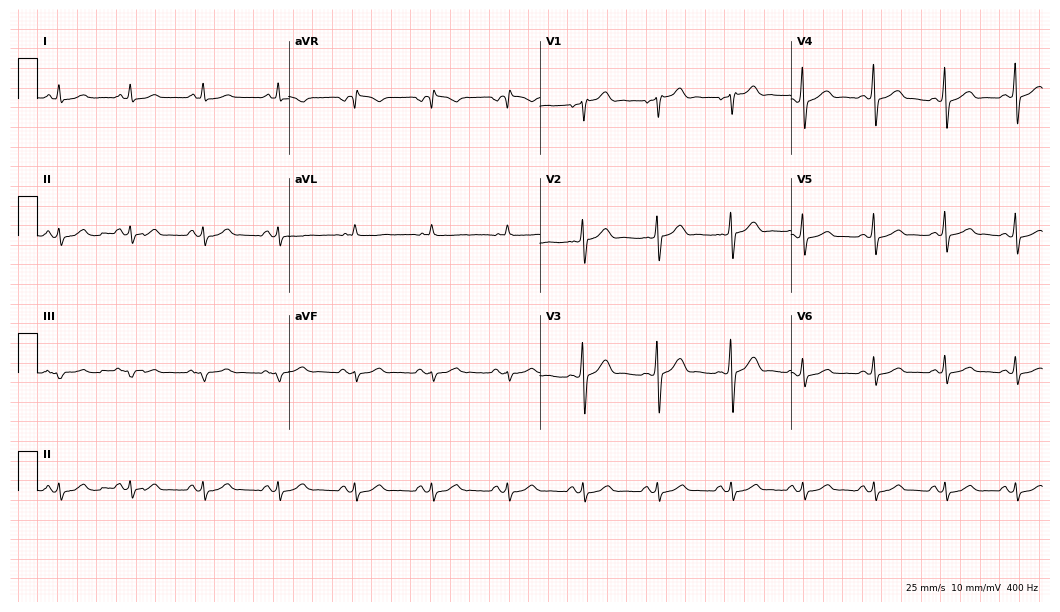
Electrocardiogram, a 56-year-old male patient. Of the six screened findings (first-degree AV block, right bundle branch block (RBBB), left bundle branch block (LBBB), sinus bradycardia, atrial fibrillation (AF), sinus tachycardia), none is recorded.